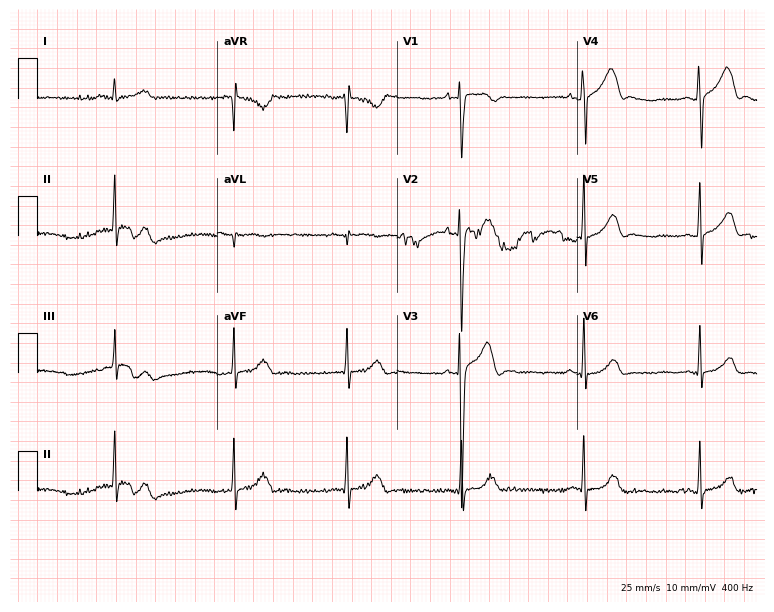
Resting 12-lead electrocardiogram. Patient: a 19-year-old male. None of these six findings is recorded: first-degree AV block, right bundle branch block, left bundle branch block, sinus bradycardia, atrial fibrillation, sinus tachycardia. Other findings, if any, are not listed.